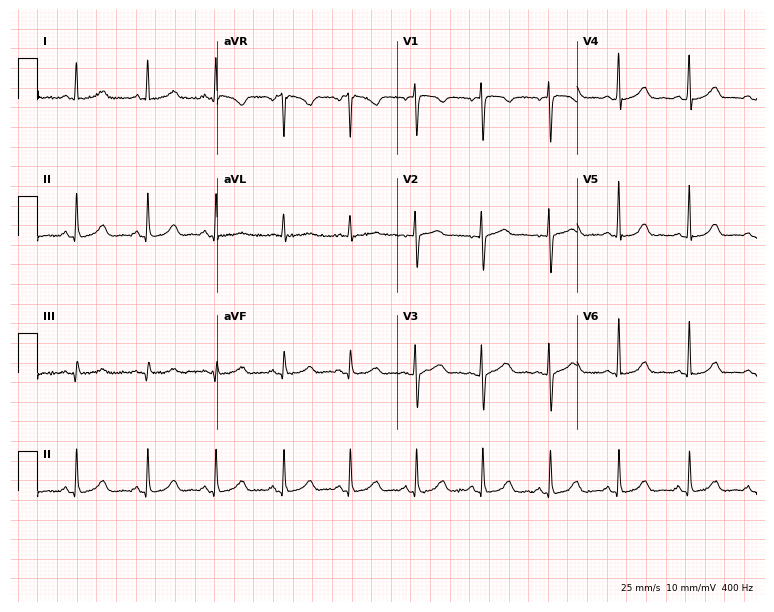
Electrocardiogram (7.3-second recording at 400 Hz), a woman, 47 years old. Overall reading on record: normal ECG.